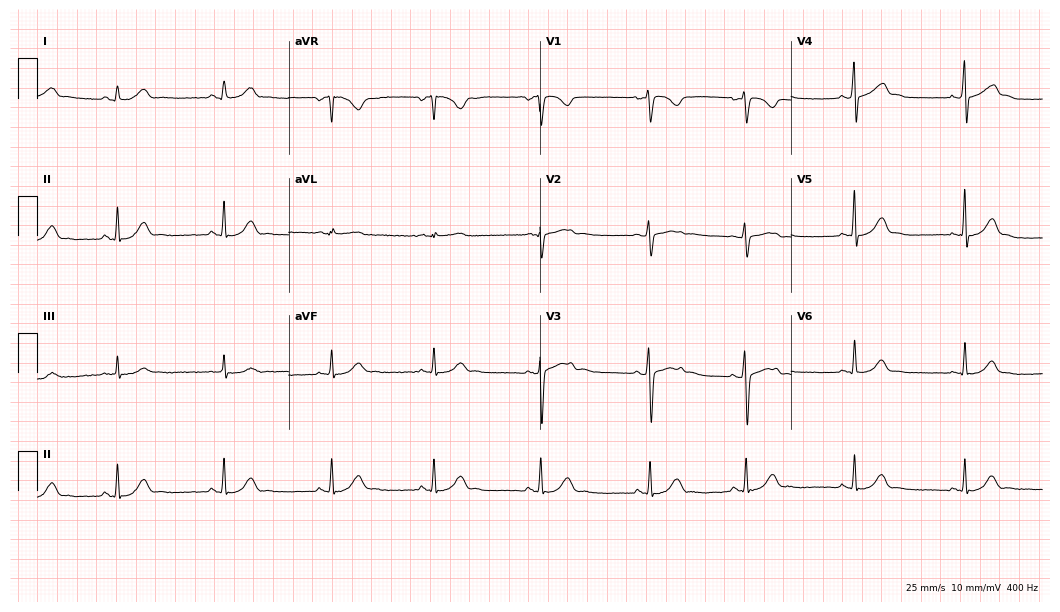
Standard 12-lead ECG recorded from a 29-year-old female patient. None of these six findings is recorded: first-degree AV block, right bundle branch block (RBBB), left bundle branch block (LBBB), sinus bradycardia, atrial fibrillation (AF), sinus tachycardia. Findings outside these six are not listed.